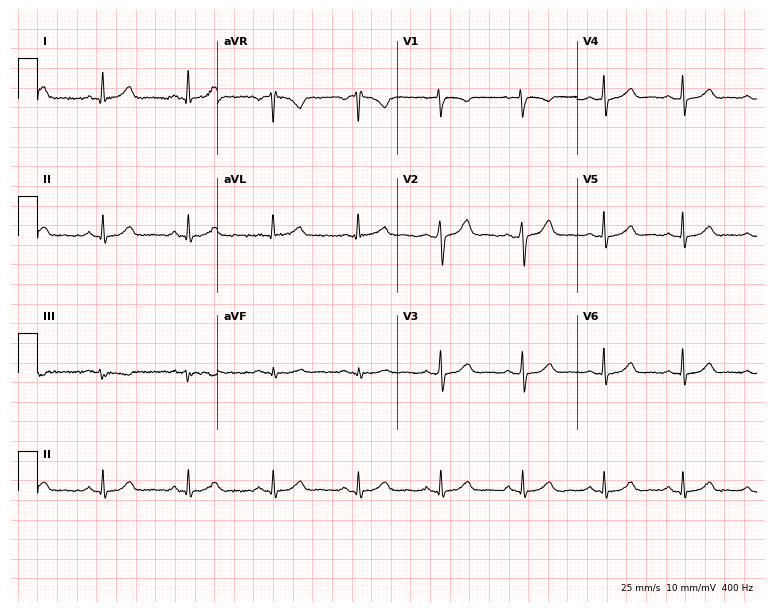
12-lead ECG from a 45-year-old female patient. Recorded interpretation: within normal limits.